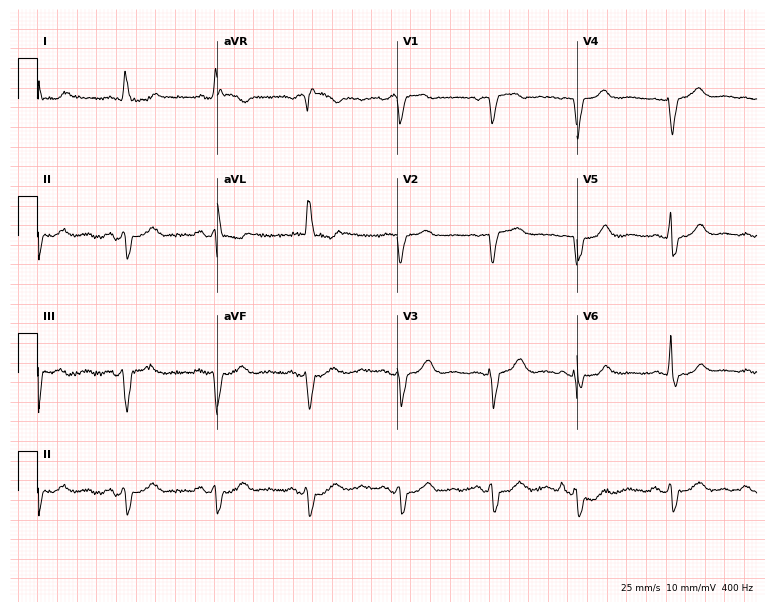
Electrocardiogram (7.3-second recording at 400 Hz), a female, 84 years old. Of the six screened findings (first-degree AV block, right bundle branch block, left bundle branch block, sinus bradycardia, atrial fibrillation, sinus tachycardia), none is recorded.